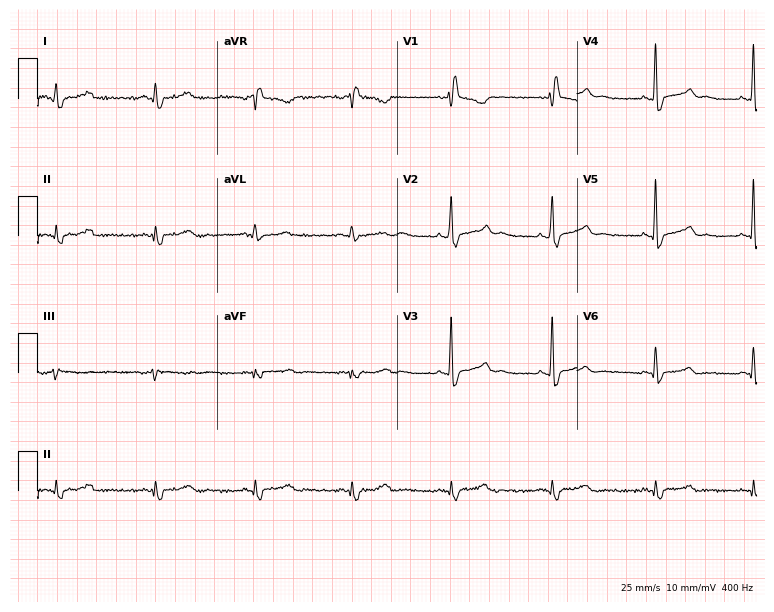
12-lead ECG from a 52-year-old female. Findings include right bundle branch block.